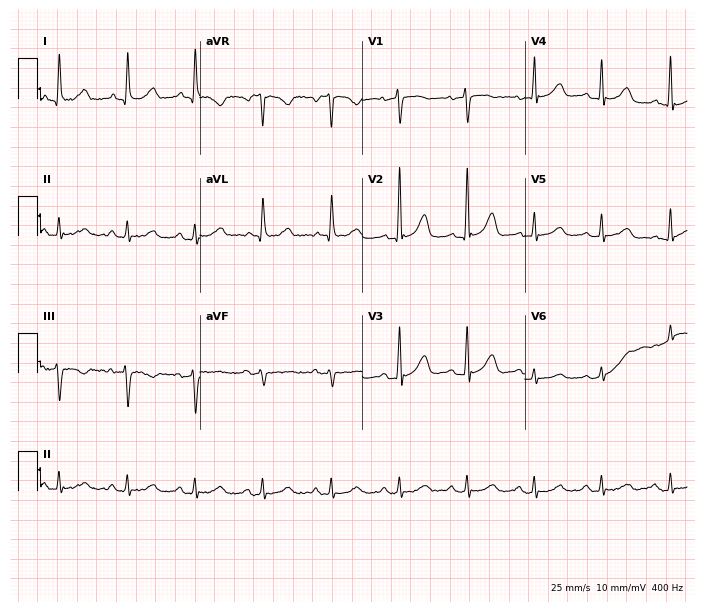
Electrocardiogram, a 65-year-old female. Overall reading on record: normal ECG.